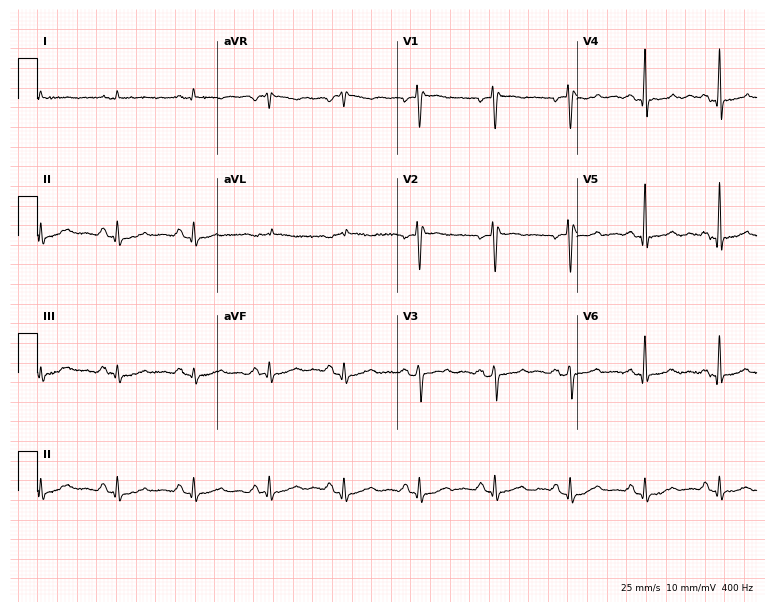
12-lead ECG from a 57-year-old woman. Screened for six findings — first-degree AV block, right bundle branch block (RBBB), left bundle branch block (LBBB), sinus bradycardia, atrial fibrillation (AF), sinus tachycardia — none is recorded. Only these six findings were labelled.